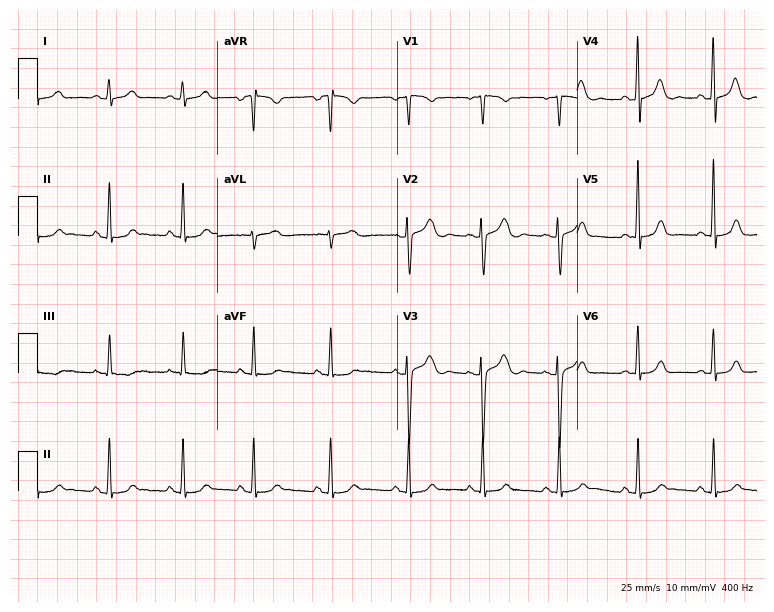
Resting 12-lead electrocardiogram. Patient: a 47-year-old woman. Read as a normal ECG.